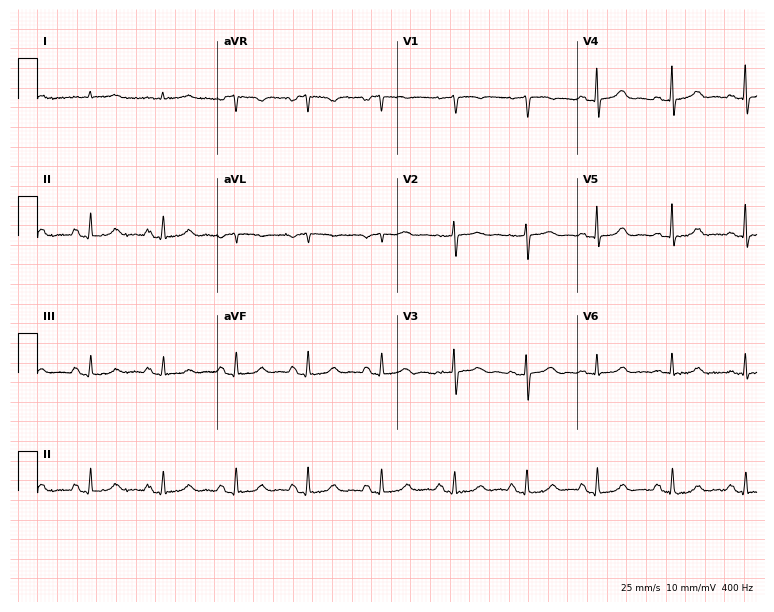
12-lead ECG from a male patient, 85 years old. No first-degree AV block, right bundle branch block, left bundle branch block, sinus bradycardia, atrial fibrillation or sinus tachycardia recorded for this tracing.